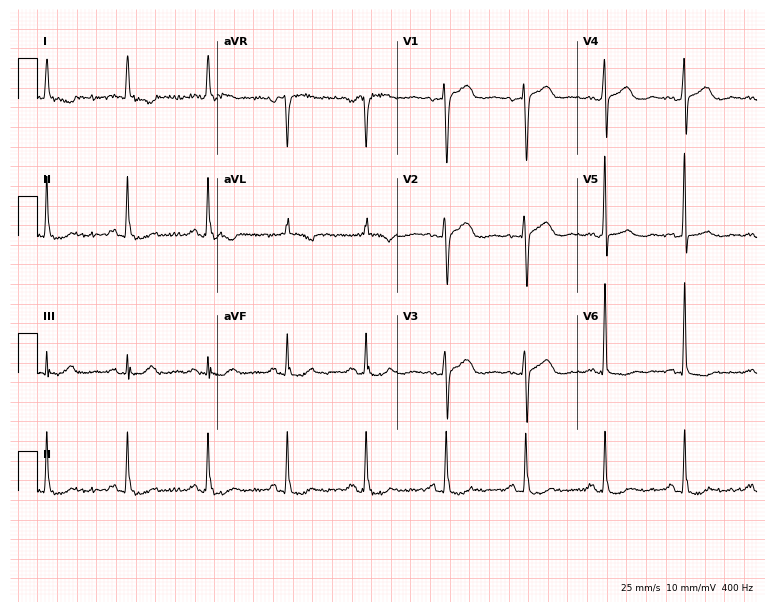
ECG (7.3-second recording at 400 Hz) — a 70-year-old female. Screened for six findings — first-degree AV block, right bundle branch block (RBBB), left bundle branch block (LBBB), sinus bradycardia, atrial fibrillation (AF), sinus tachycardia — none is recorded.